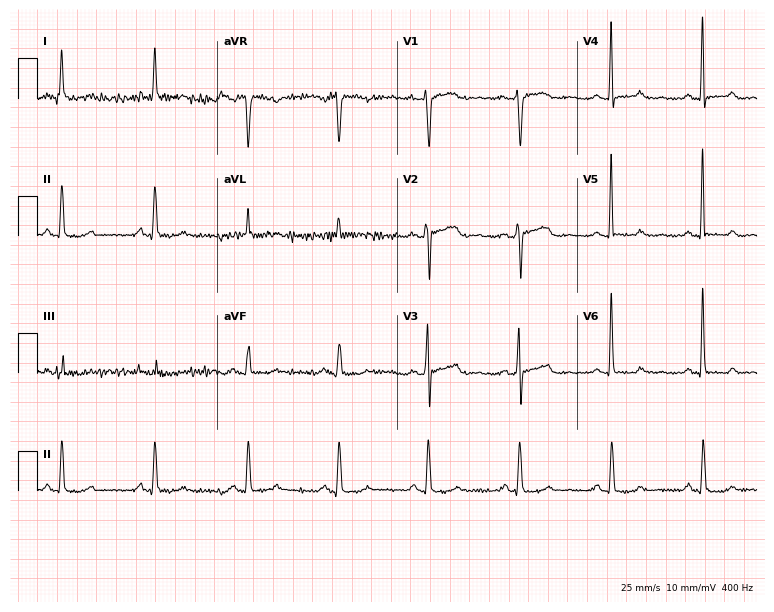
Electrocardiogram, a 58-year-old female. Of the six screened findings (first-degree AV block, right bundle branch block, left bundle branch block, sinus bradycardia, atrial fibrillation, sinus tachycardia), none is recorded. Findings outside these six are not listed.